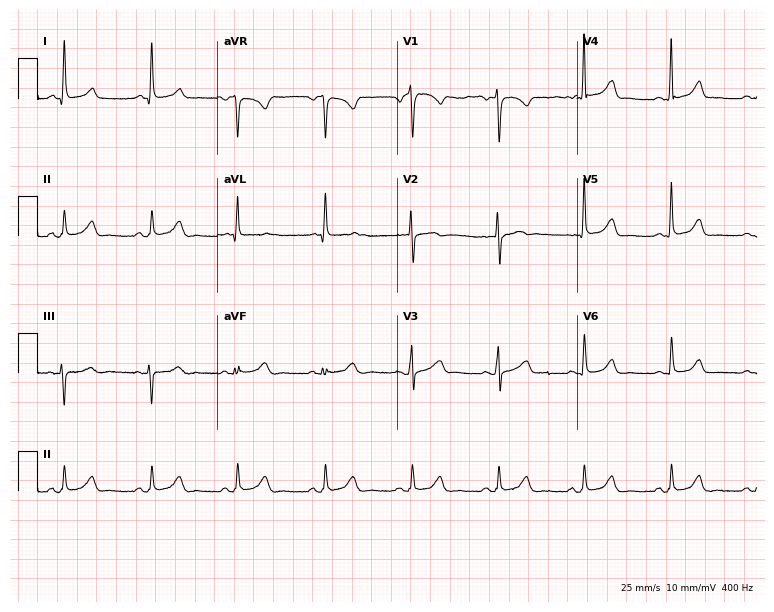
Standard 12-lead ECG recorded from a female patient, 71 years old. Read as a normal ECG.